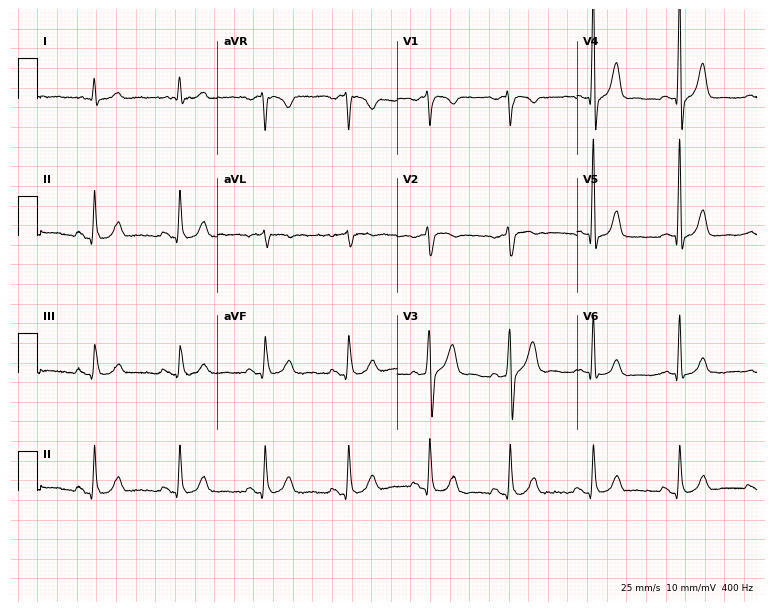
12-lead ECG (7.3-second recording at 400 Hz) from a man, 70 years old. Labelled as a normal ECG.